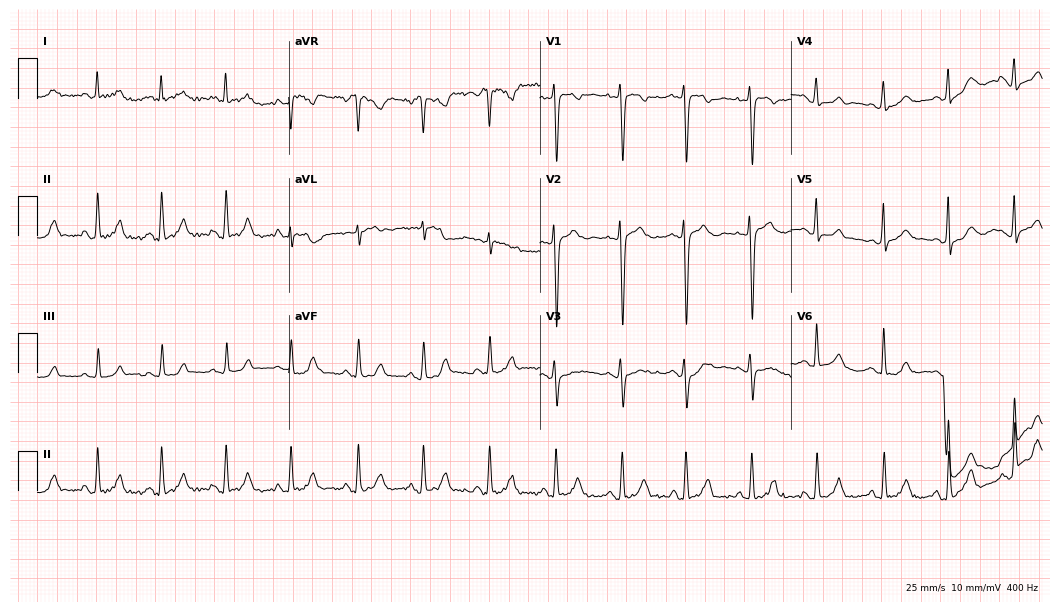
Resting 12-lead electrocardiogram. Patient: a man, 30 years old. Read as a normal ECG.